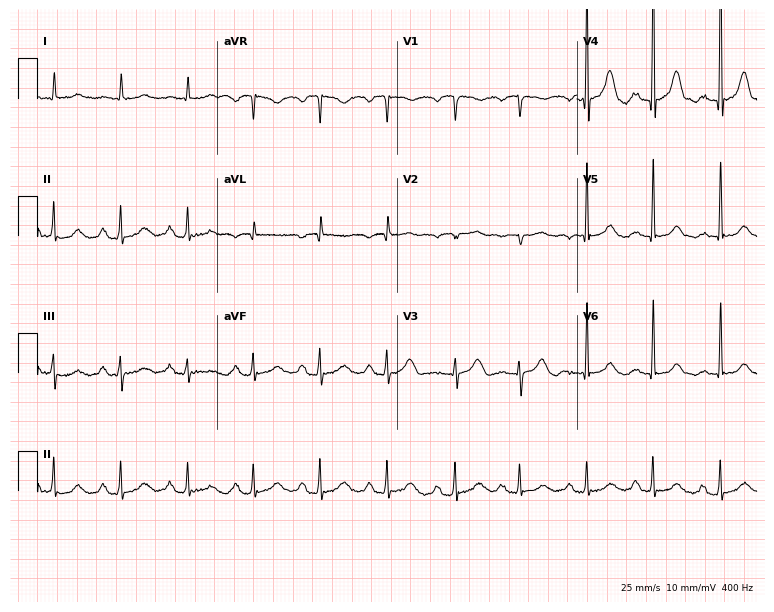
Standard 12-lead ECG recorded from a female patient, 82 years old. None of these six findings is recorded: first-degree AV block, right bundle branch block, left bundle branch block, sinus bradycardia, atrial fibrillation, sinus tachycardia.